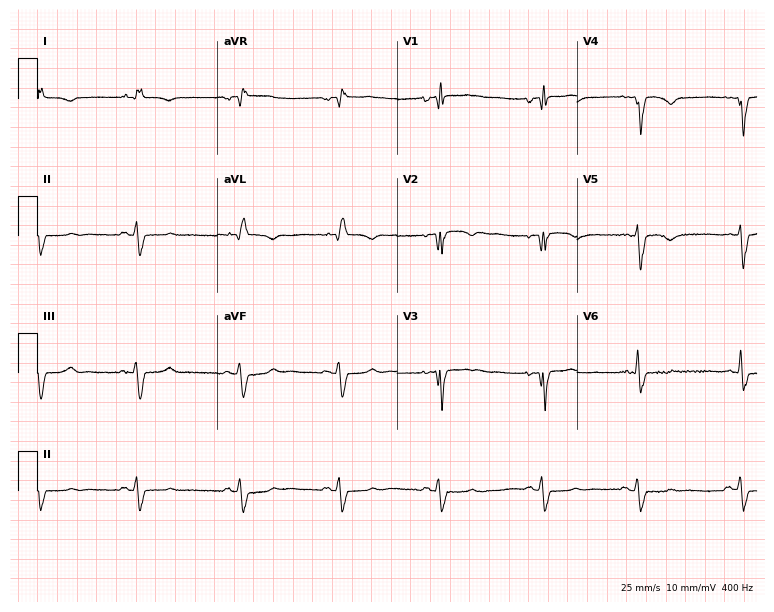
Electrocardiogram, a 74-year-old male patient. Of the six screened findings (first-degree AV block, right bundle branch block, left bundle branch block, sinus bradycardia, atrial fibrillation, sinus tachycardia), none is recorded.